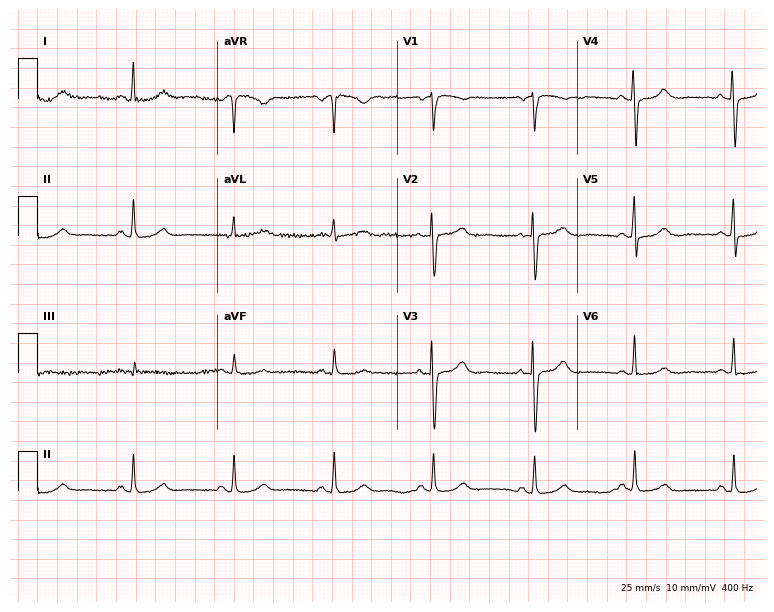
Electrocardiogram, a female, 72 years old. Overall reading on record: normal ECG.